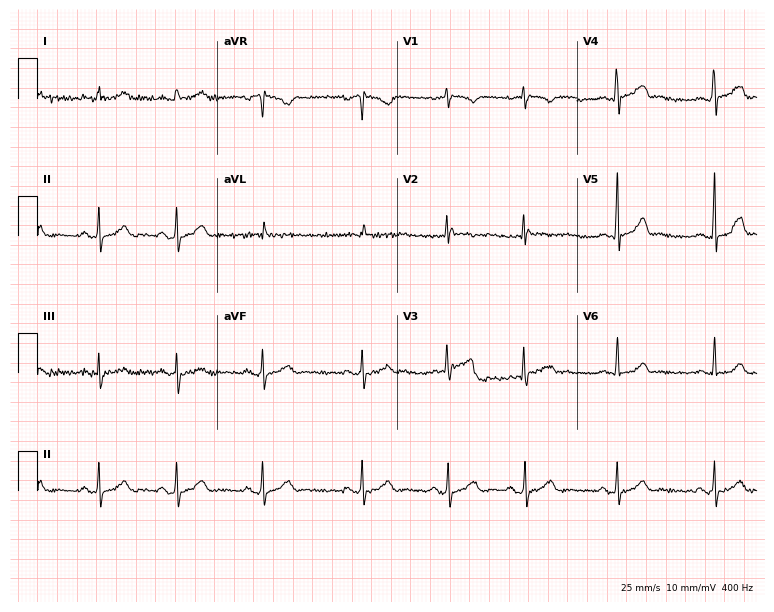
12-lead ECG from a female, 31 years old (7.3-second recording at 400 Hz). Recorded interpretation: within normal limits.